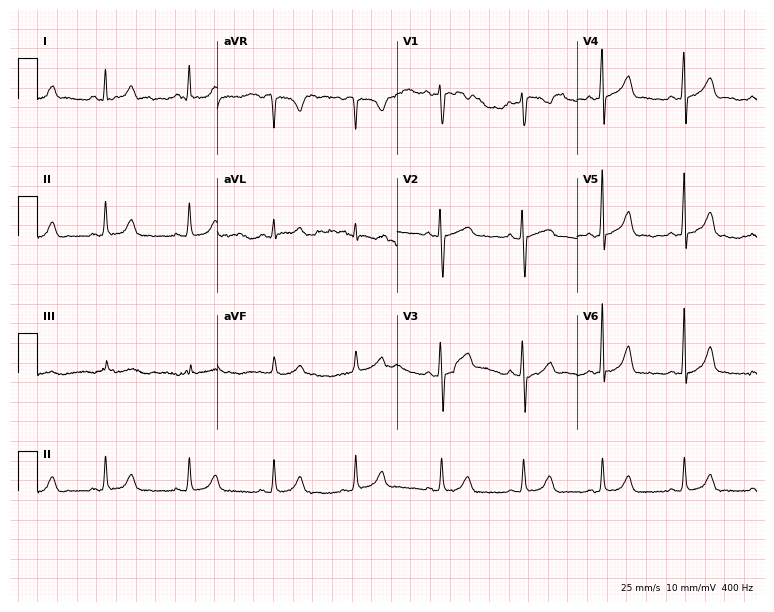
12-lead ECG (7.3-second recording at 400 Hz) from a 30-year-old female. Labelled as a normal ECG.